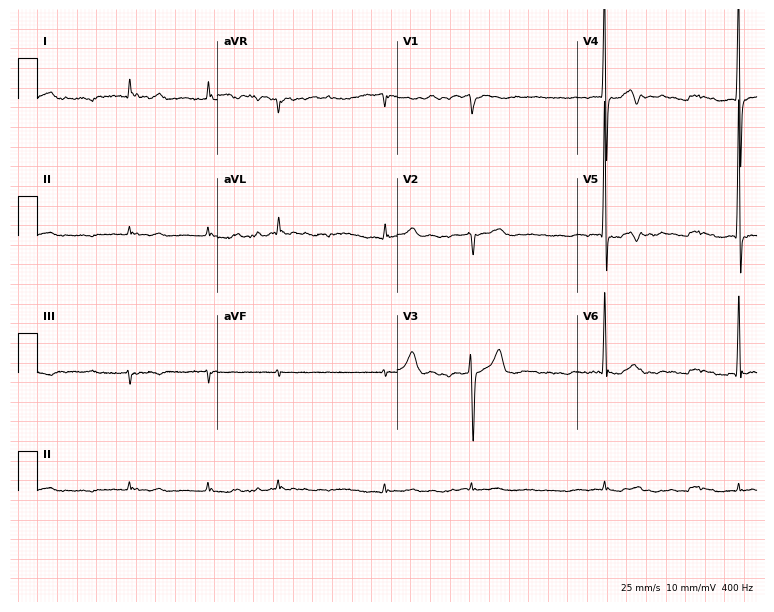
ECG — a 70-year-old woman. Findings include atrial fibrillation.